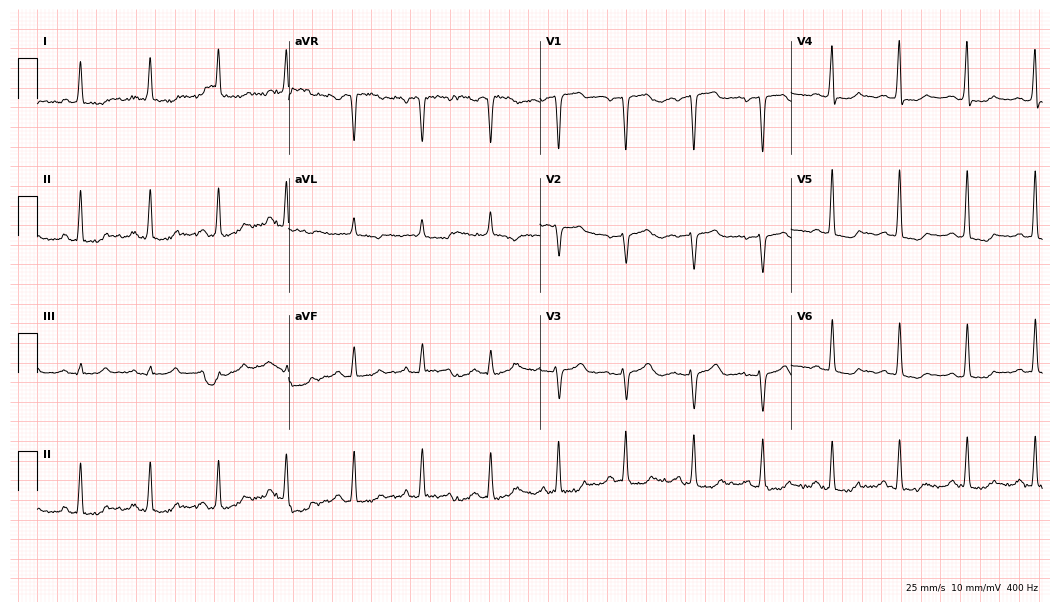
Resting 12-lead electrocardiogram. Patient: a female, 66 years old. None of these six findings is recorded: first-degree AV block, right bundle branch block, left bundle branch block, sinus bradycardia, atrial fibrillation, sinus tachycardia. Other findings, if any, are not listed.